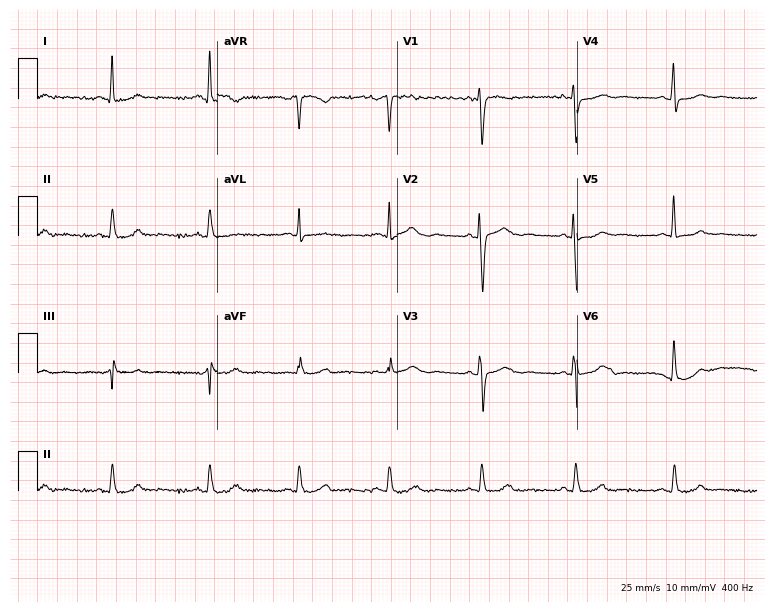
Electrocardiogram, a 35-year-old woman. Of the six screened findings (first-degree AV block, right bundle branch block (RBBB), left bundle branch block (LBBB), sinus bradycardia, atrial fibrillation (AF), sinus tachycardia), none is recorded.